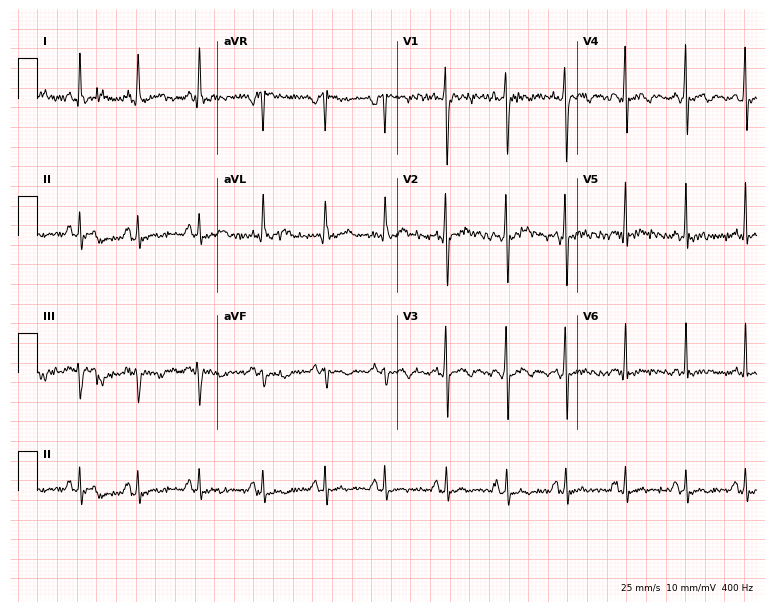
ECG (7.3-second recording at 400 Hz) — a male, 20 years old. Screened for six findings — first-degree AV block, right bundle branch block, left bundle branch block, sinus bradycardia, atrial fibrillation, sinus tachycardia — none is recorded.